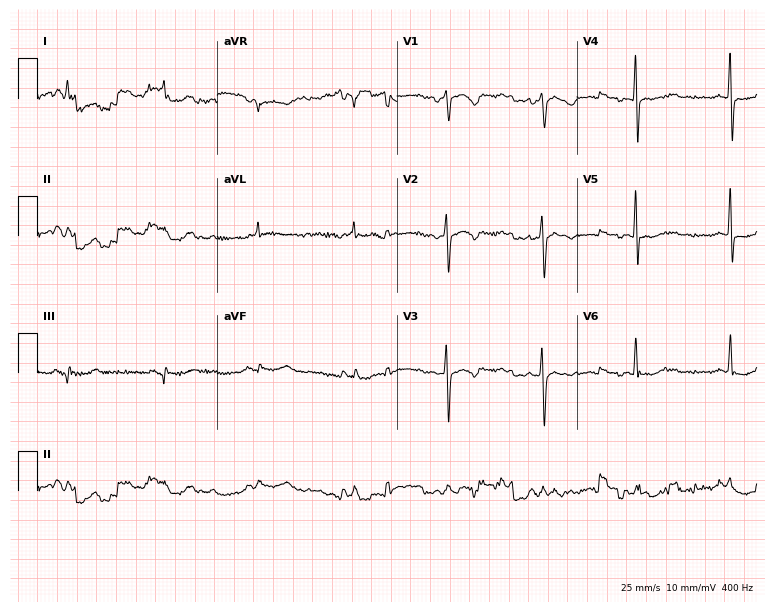
Resting 12-lead electrocardiogram (7.3-second recording at 400 Hz). Patient: a woman, 56 years old. None of these six findings is recorded: first-degree AV block, right bundle branch block (RBBB), left bundle branch block (LBBB), sinus bradycardia, atrial fibrillation (AF), sinus tachycardia.